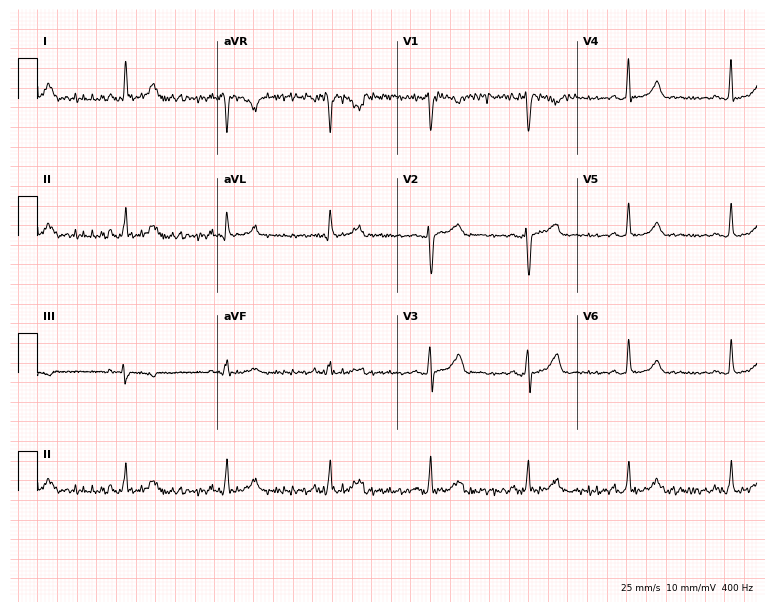
Electrocardiogram, a 50-year-old female. Overall reading on record: normal ECG.